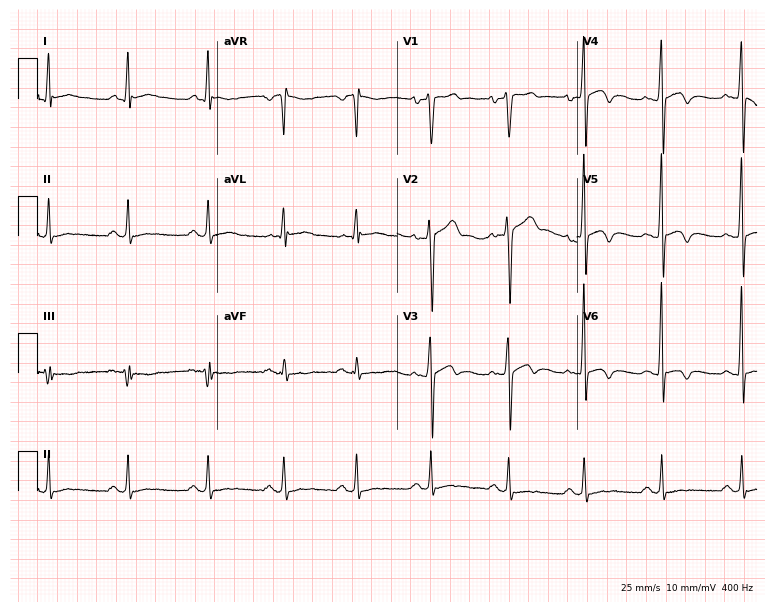
12-lead ECG from a 28-year-old male. Recorded interpretation: within normal limits.